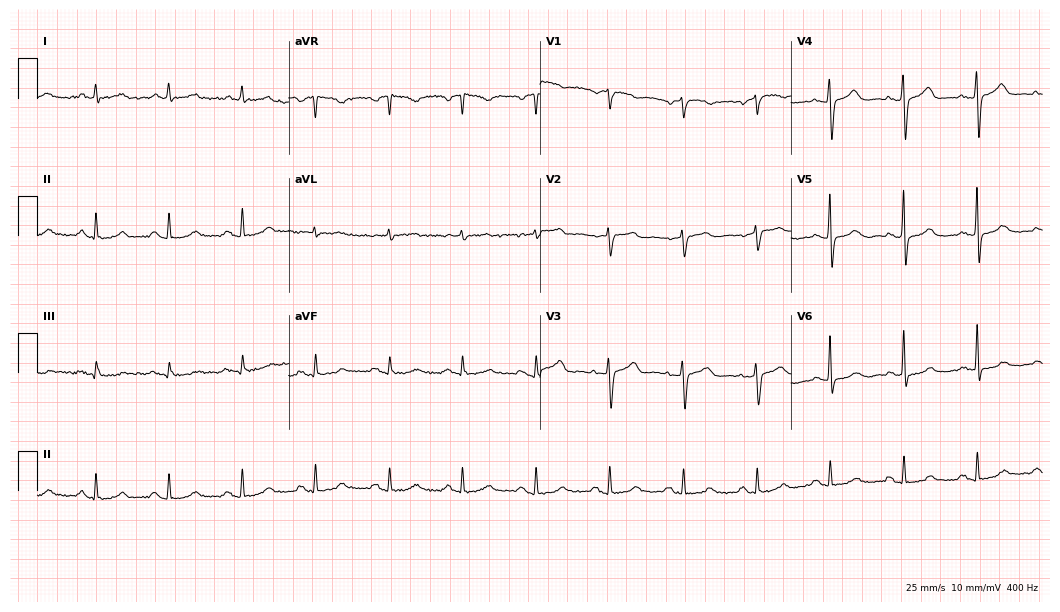
Standard 12-lead ECG recorded from a woman, 68 years old. None of these six findings is recorded: first-degree AV block, right bundle branch block (RBBB), left bundle branch block (LBBB), sinus bradycardia, atrial fibrillation (AF), sinus tachycardia. Findings outside these six are not listed.